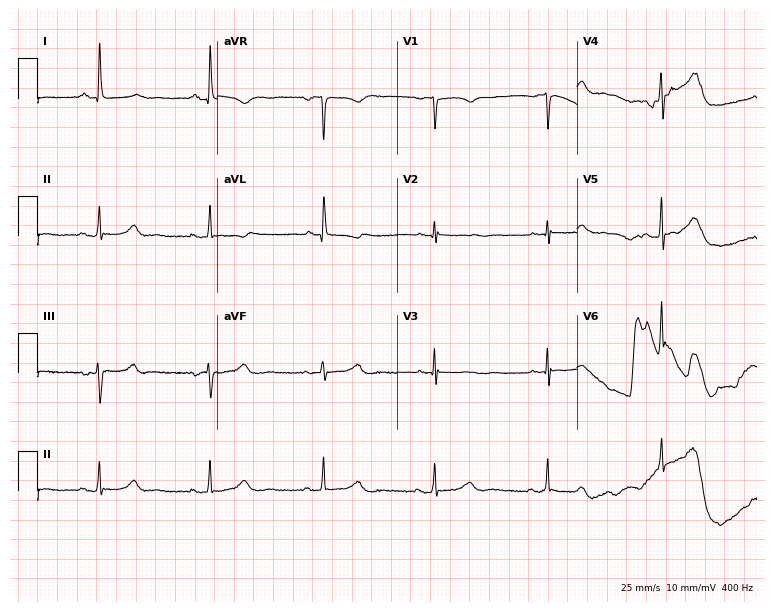
Electrocardiogram, a female, 72 years old. Of the six screened findings (first-degree AV block, right bundle branch block (RBBB), left bundle branch block (LBBB), sinus bradycardia, atrial fibrillation (AF), sinus tachycardia), none is recorded.